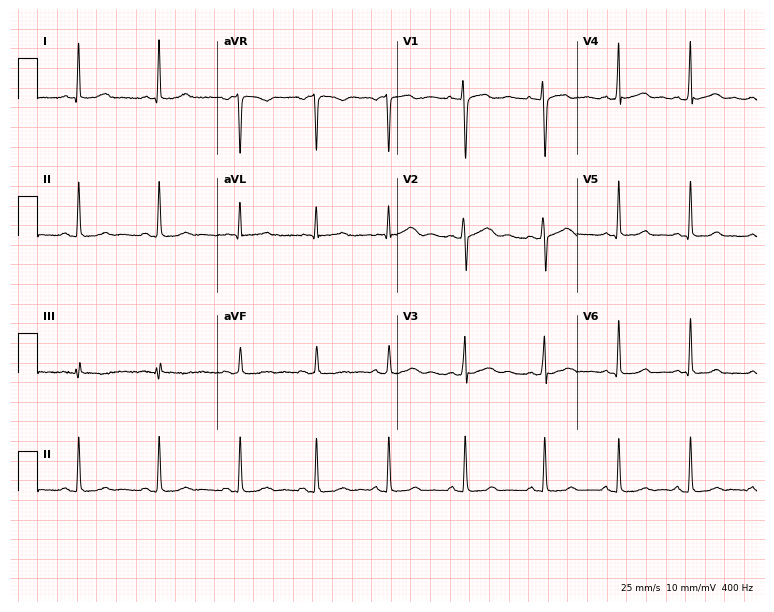
Electrocardiogram, a female, 32 years old. Overall reading on record: normal ECG.